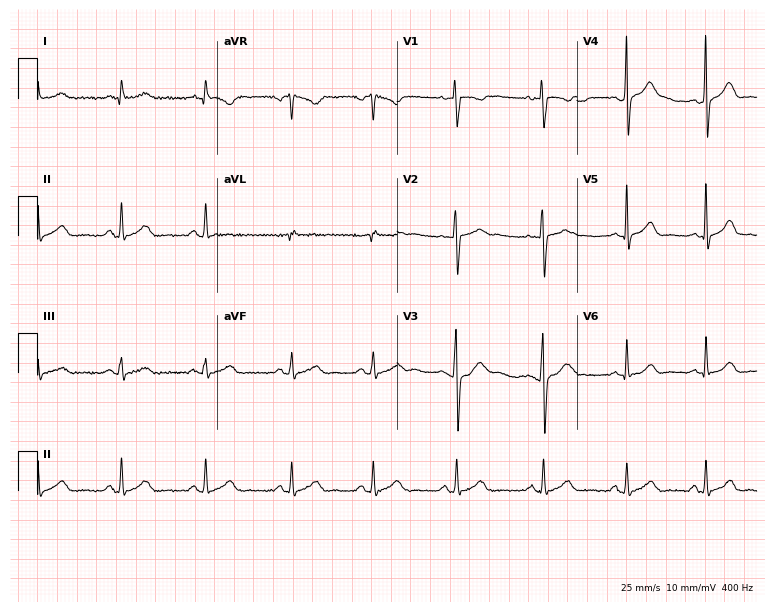
Electrocardiogram, a female, 33 years old. Of the six screened findings (first-degree AV block, right bundle branch block, left bundle branch block, sinus bradycardia, atrial fibrillation, sinus tachycardia), none is recorded.